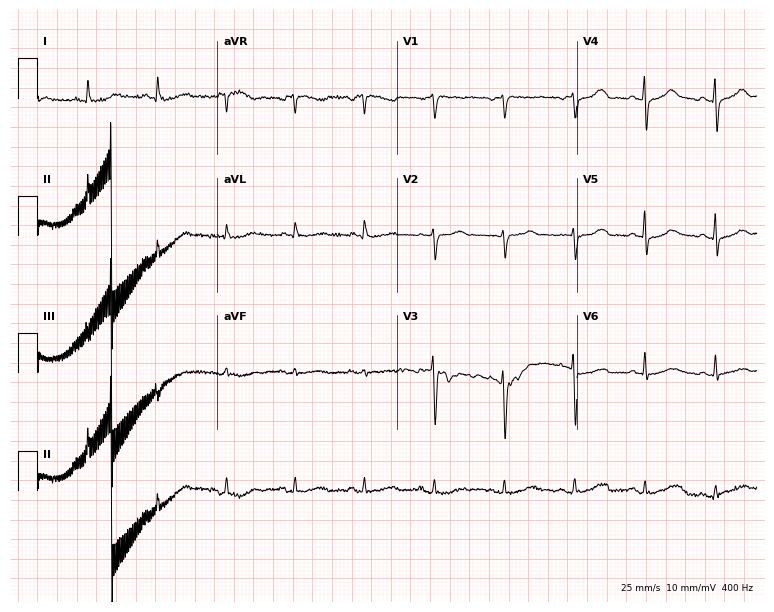
Electrocardiogram, a 77-year-old female. Of the six screened findings (first-degree AV block, right bundle branch block (RBBB), left bundle branch block (LBBB), sinus bradycardia, atrial fibrillation (AF), sinus tachycardia), none is recorded. Findings outside these six are not listed.